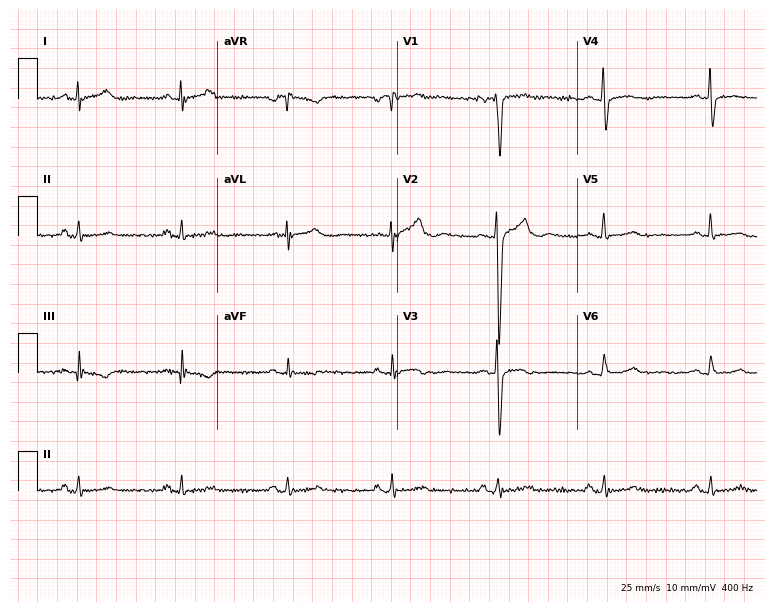
12-lead ECG from a 48-year-old man (7.3-second recording at 400 Hz). No first-degree AV block, right bundle branch block, left bundle branch block, sinus bradycardia, atrial fibrillation or sinus tachycardia recorded for this tracing. Only these six findings were labelled.